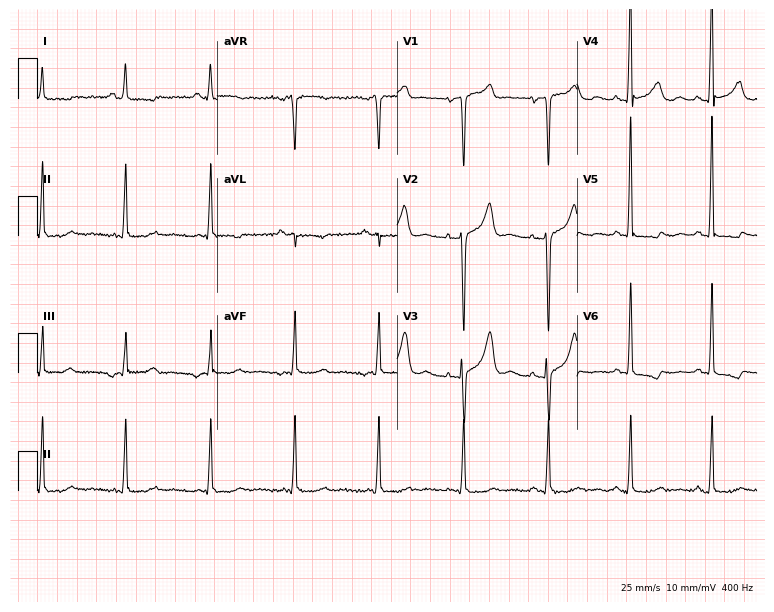
Standard 12-lead ECG recorded from a 56-year-old female (7.3-second recording at 400 Hz). None of these six findings is recorded: first-degree AV block, right bundle branch block (RBBB), left bundle branch block (LBBB), sinus bradycardia, atrial fibrillation (AF), sinus tachycardia.